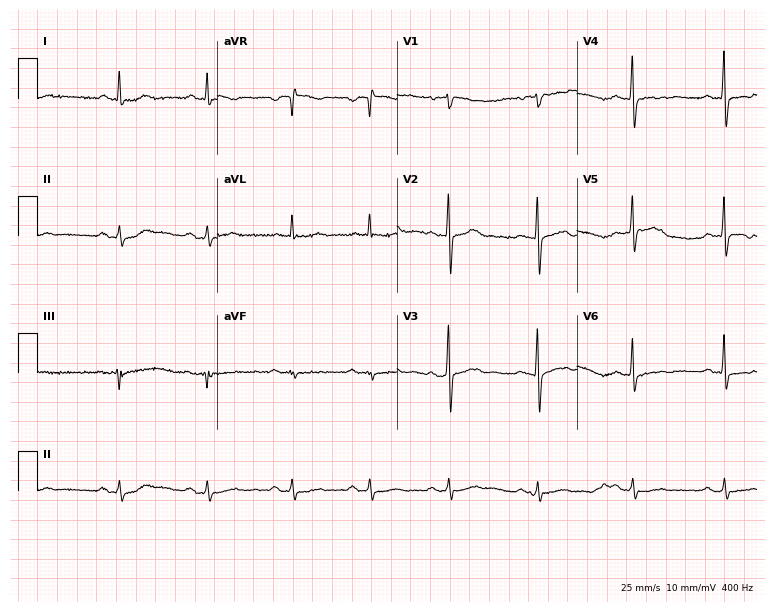
12-lead ECG from a 67-year-old man. No first-degree AV block, right bundle branch block (RBBB), left bundle branch block (LBBB), sinus bradycardia, atrial fibrillation (AF) or sinus tachycardia recorded for this tracing. Findings outside these six are not listed.